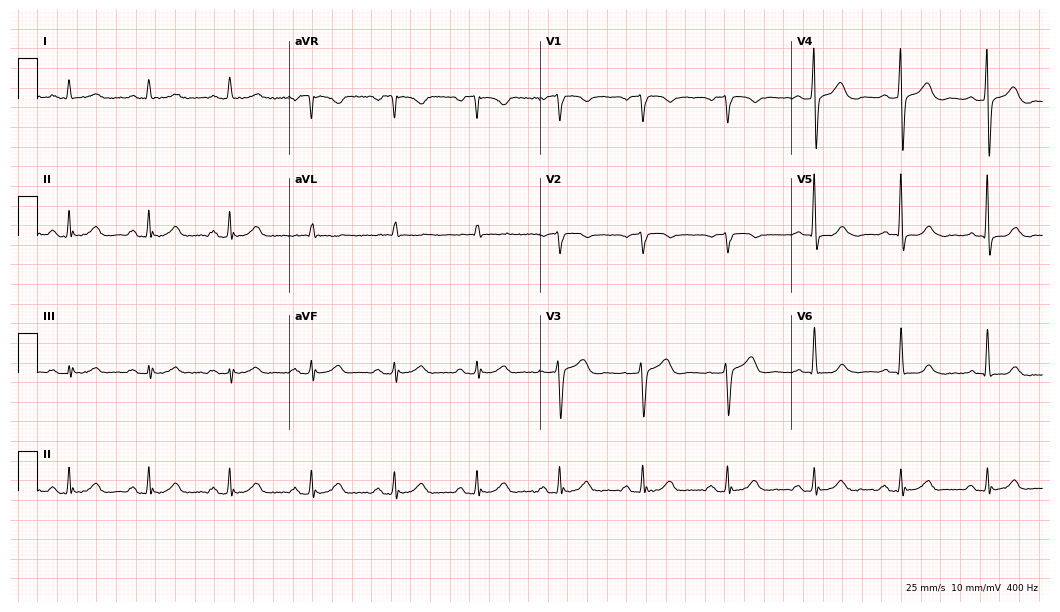
Electrocardiogram, a male patient, 64 years old. Of the six screened findings (first-degree AV block, right bundle branch block (RBBB), left bundle branch block (LBBB), sinus bradycardia, atrial fibrillation (AF), sinus tachycardia), none is recorded. Other findings, if any, are not listed.